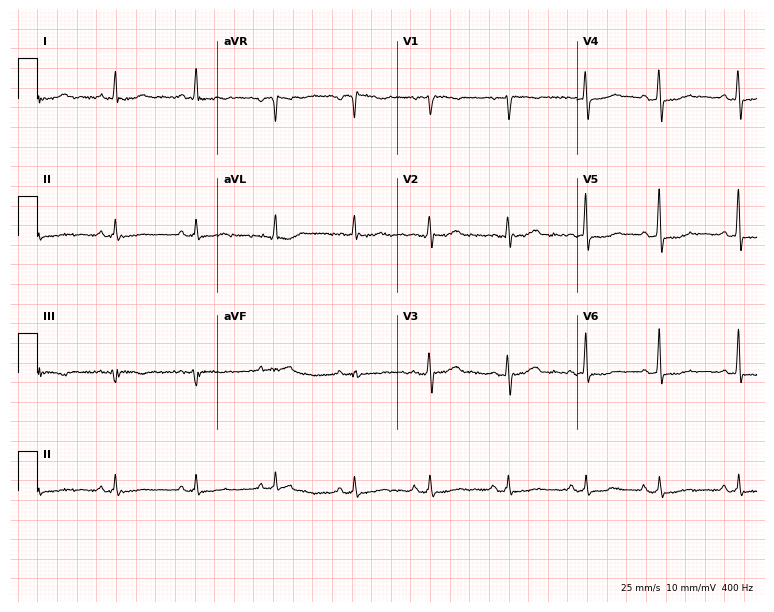
12-lead ECG from a female patient, 46 years old. Screened for six findings — first-degree AV block, right bundle branch block, left bundle branch block, sinus bradycardia, atrial fibrillation, sinus tachycardia — none is recorded.